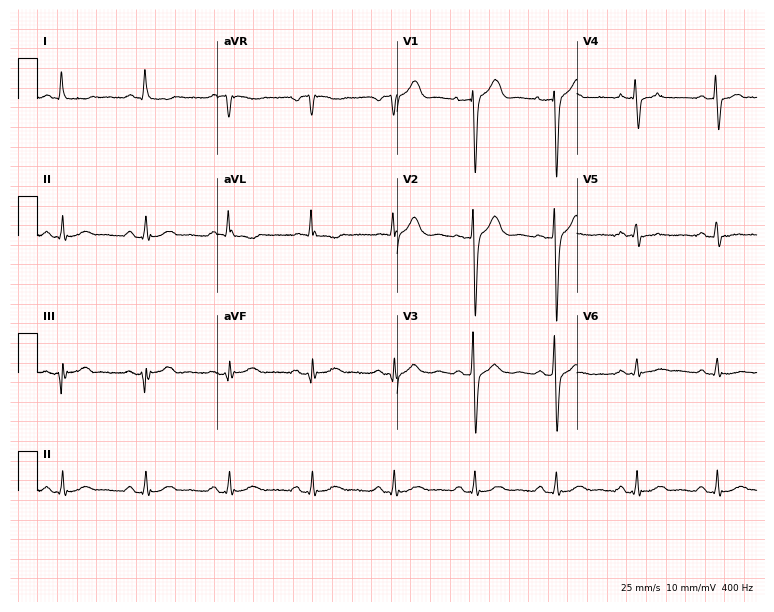
12-lead ECG (7.3-second recording at 400 Hz) from a 61-year-old male patient. Screened for six findings — first-degree AV block, right bundle branch block, left bundle branch block, sinus bradycardia, atrial fibrillation, sinus tachycardia — none is recorded.